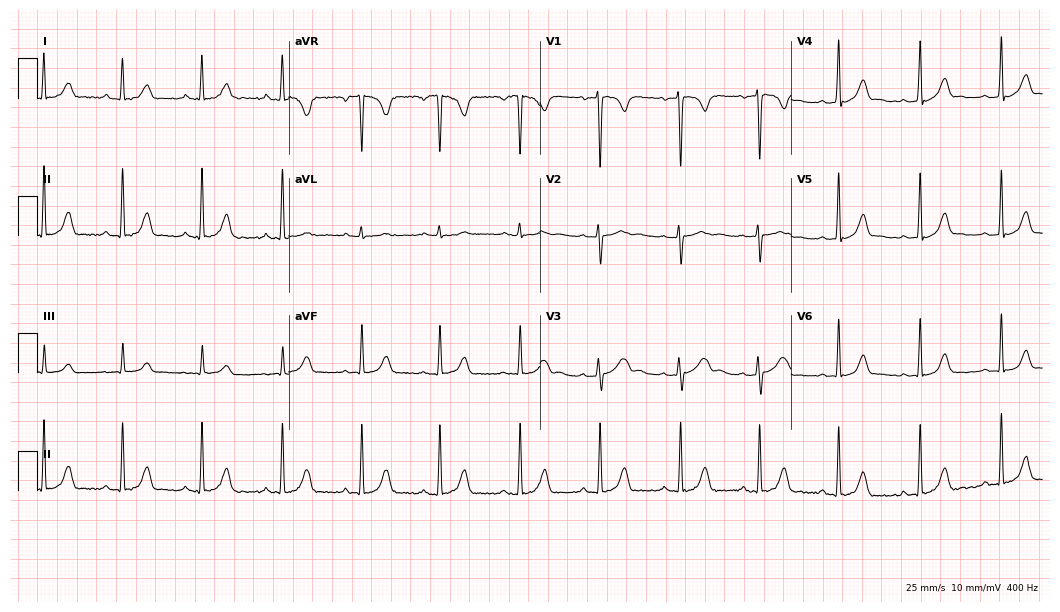
Electrocardiogram, a female, 17 years old. Overall reading on record: normal ECG.